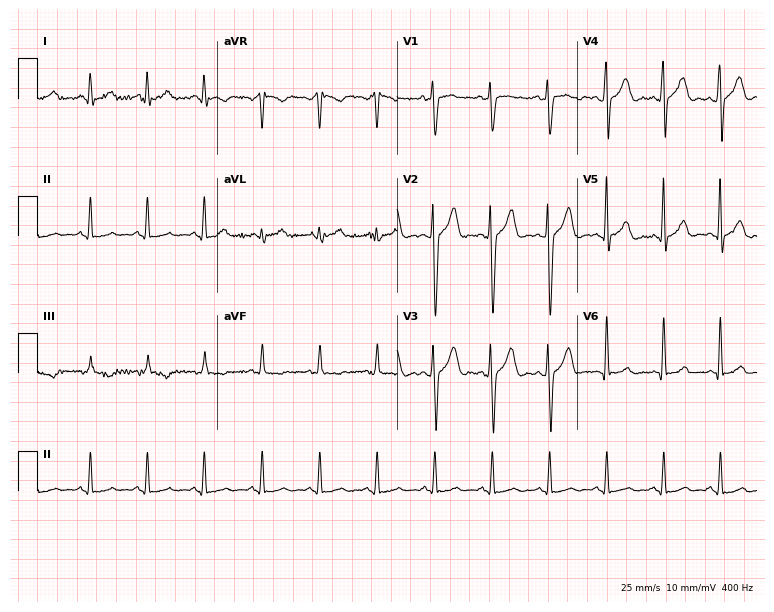
12-lead ECG from a 49-year-old male. Screened for six findings — first-degree AV block, right bundle branch block (RBBB), left bundle branch block (LBBB), sinus bradycardia, atrial fibrillation (AF), sinus tachycardia — none is recorded. Only these six findings were labelled.